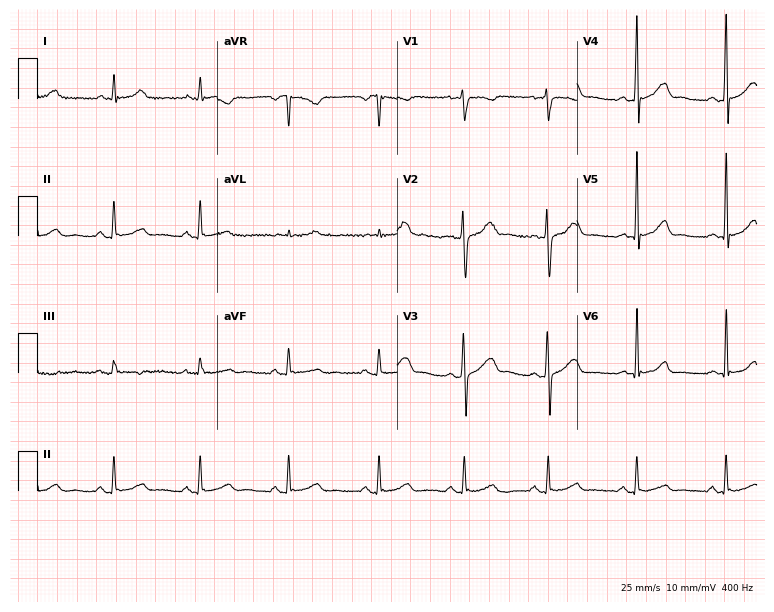
ECG — a male patient, 33 years old. Labelled as a normal ECG.